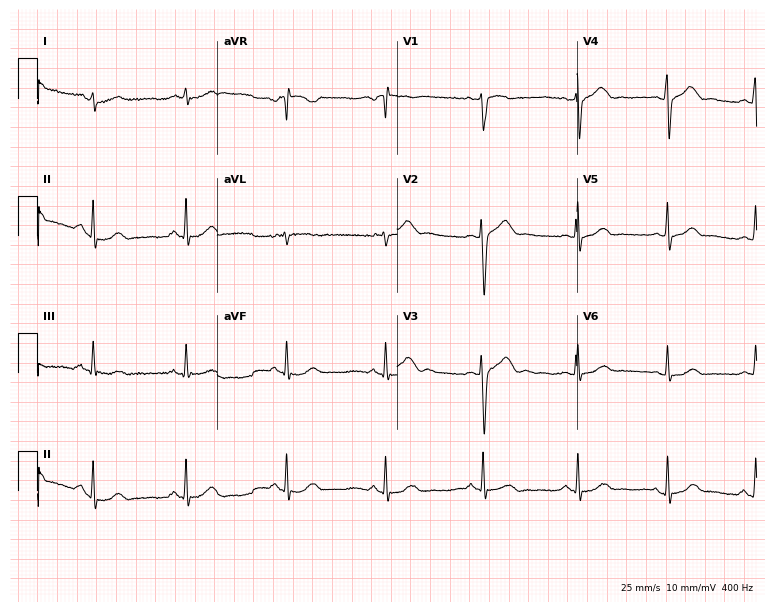
Resting 12-lead electrocardiogram (7.3-second recording at 400 Hz). Patient: a 49-year-old male. Read as a normal ECG.